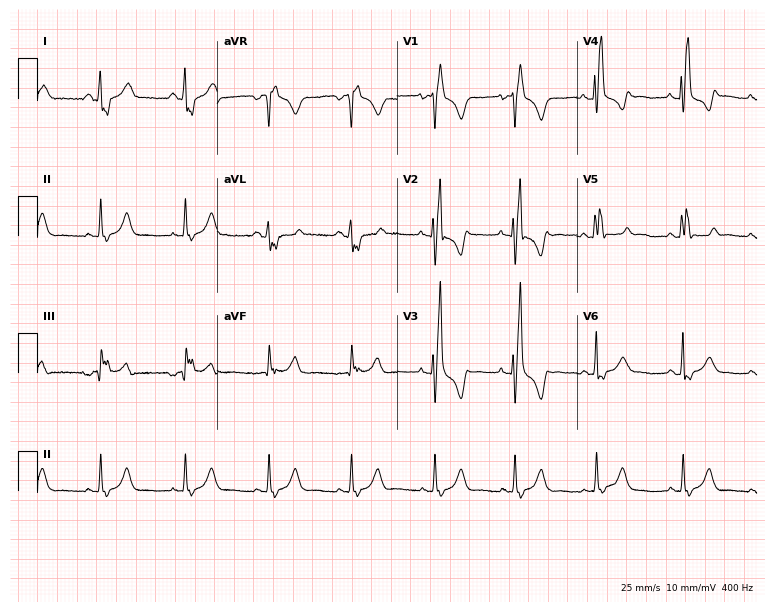
12-lead ECG from a female patient, 18 years old. Screened for six findings — first-degree AV block, right bundle branch block, left bundle branch block, sinus bradycardia, atrial fibrillation, sinus tachycardia — none is recorded.